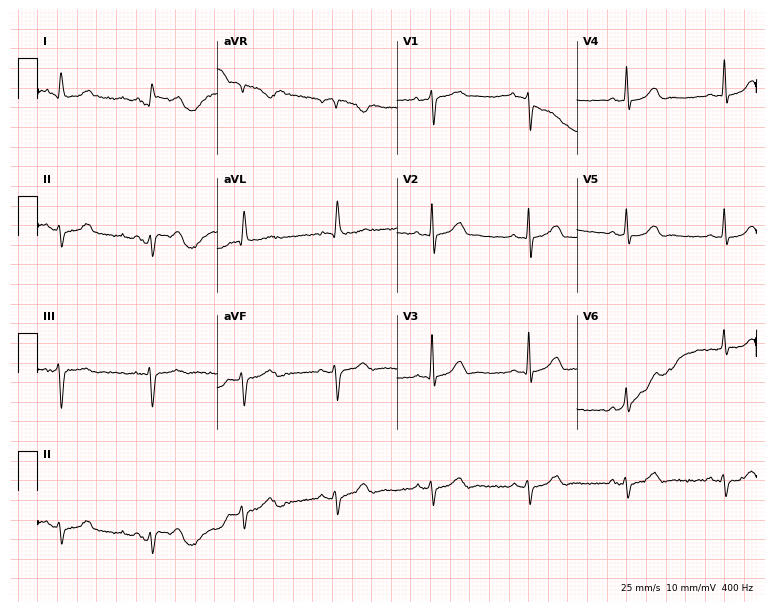
Resting 12-lead electrocardiogram (7.3-second recording at 400 Hz). Patient: an 81-year-old man. None of these six findings is recorded: first-degree AV block, right bundle branch block, left bundle branch block, sinus bradycardia, atrial fibrillation, sinus tachycardia. Only these six findings were labelled.